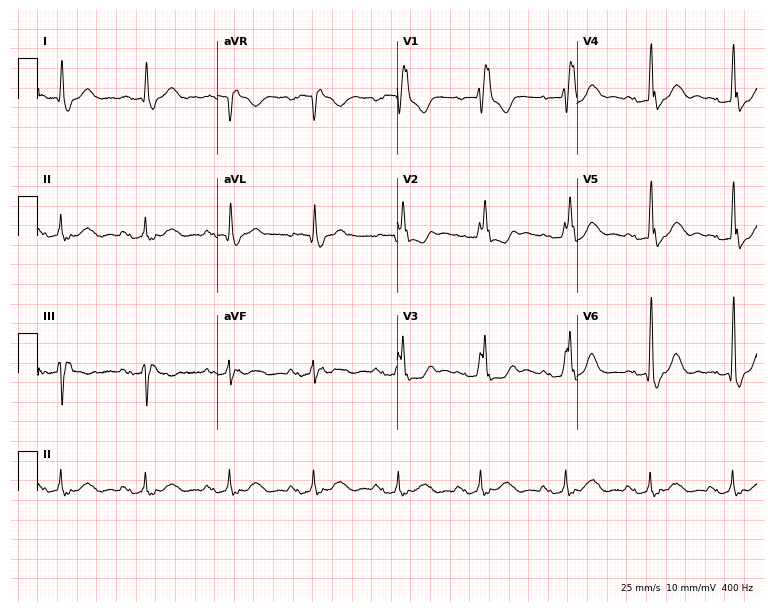
Resting 12-lead electrocardiogram. Patient: a 78-year-old female. The tracing shows first-degree AV block, right bundle branch block.